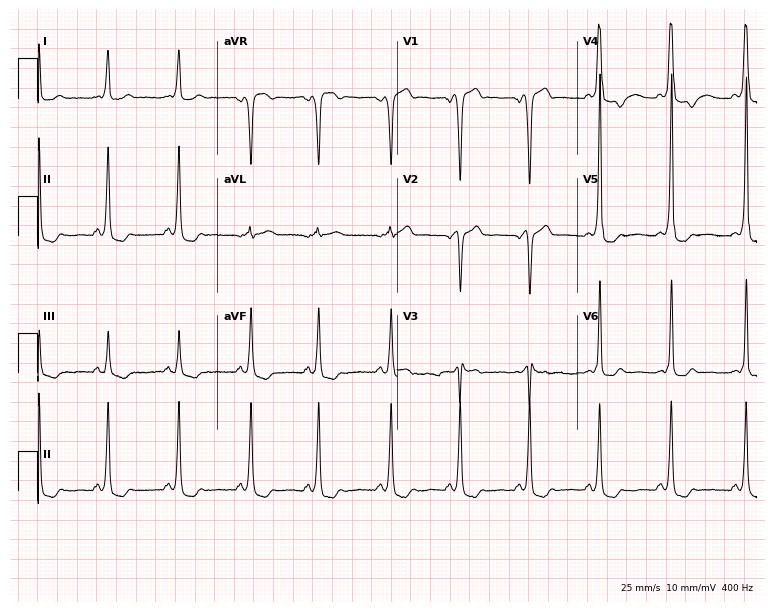
ECG (7.3-second recording at 400 Hz) — a male, 22 years old. Screened for six findings — first-degree AV block, right bundle branch block (RBBB), left bundle branch block (LBBB), sinus bradycardia, atrial fibrillation (AF), sinus tachycardia — none is recorded. Findings outside these six are not listed.